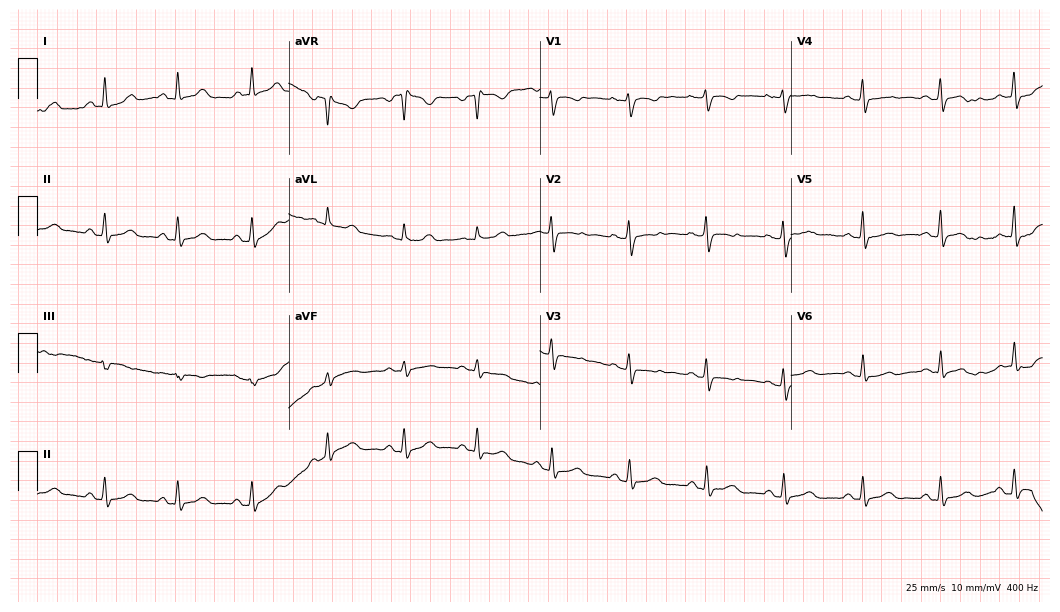
Electrocardiogram, a 33-year-old woman. Overall reading on record: normal ECG.